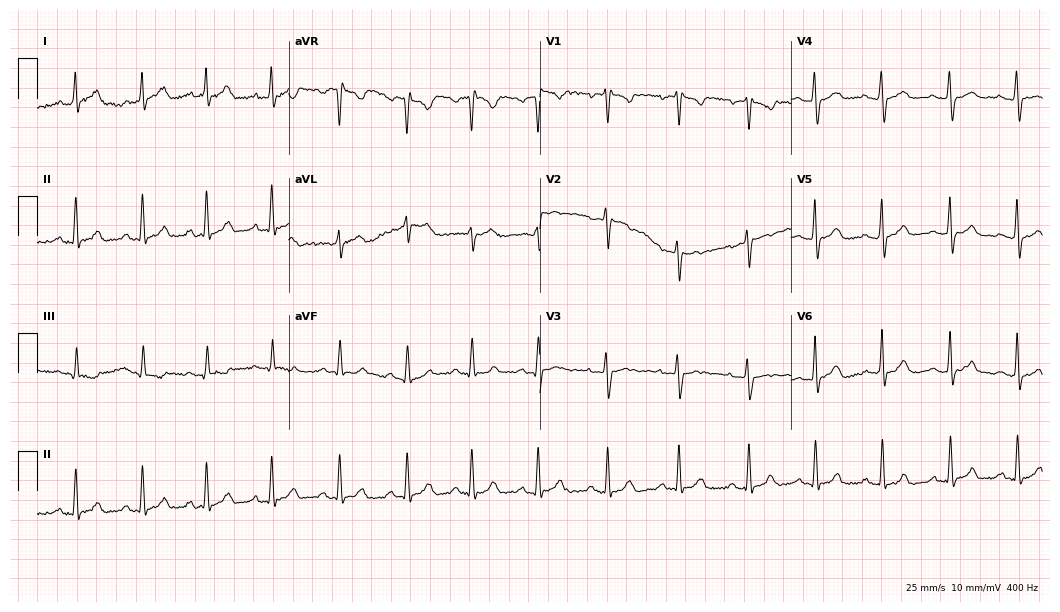
Standard 12-lead ECG recorded from a 29-year-old woman (10.2-second recording at 400 Hz). Read as a normal ECG.